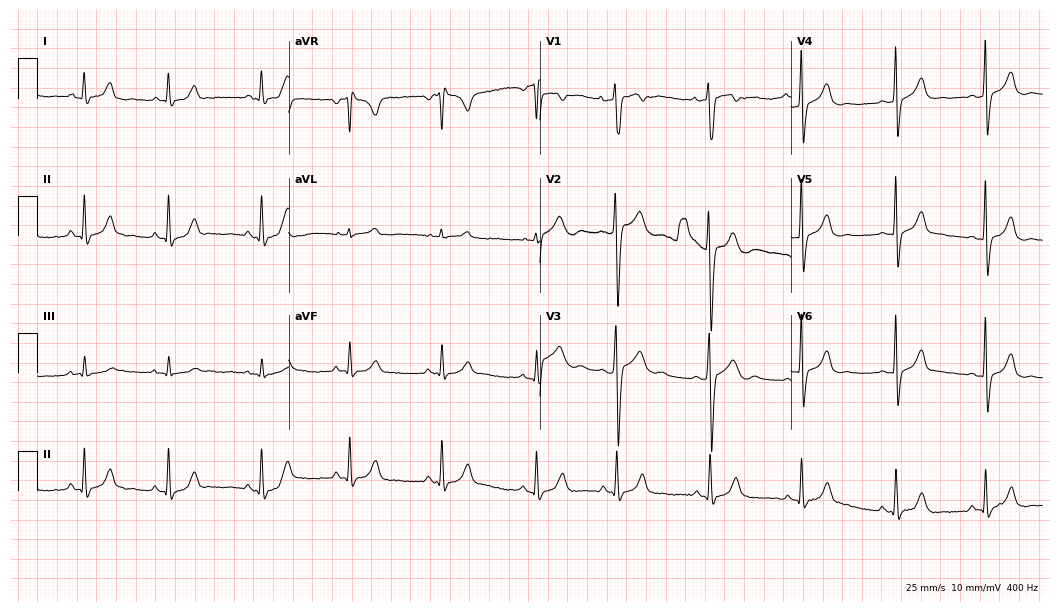
Electrocardiogram, a male, 18 years old. Overall reading on record: normal ECG.